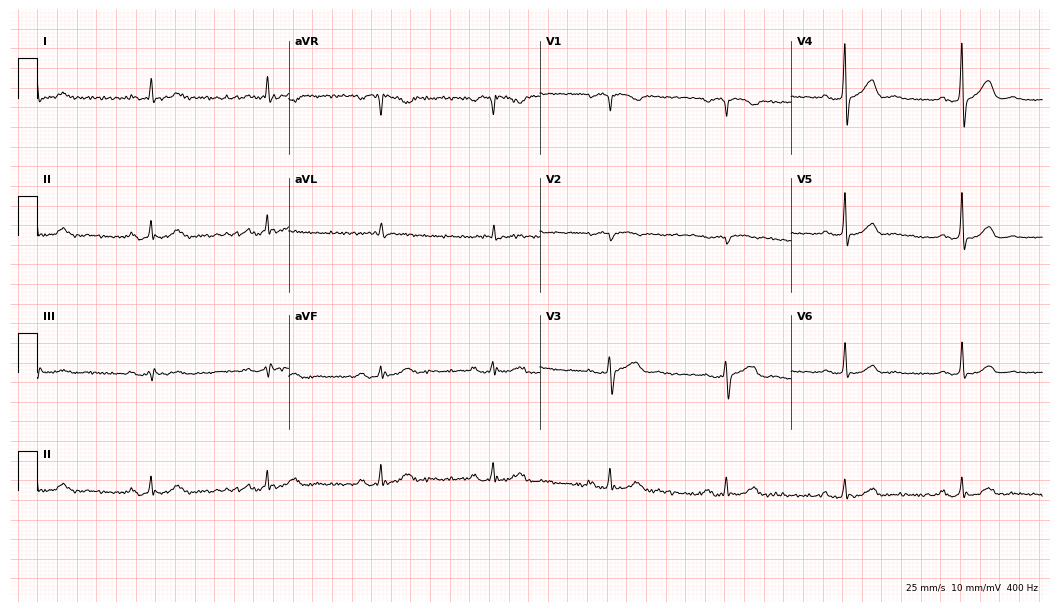
12-lead ECG from a male, 76 years old. No first-degree AV block, right bundle branch block, left bundle branch block, sinus bradycardia, atrial fibrillation or sinus tachycardia recorded for this tracing. Only these six findings were labelled.